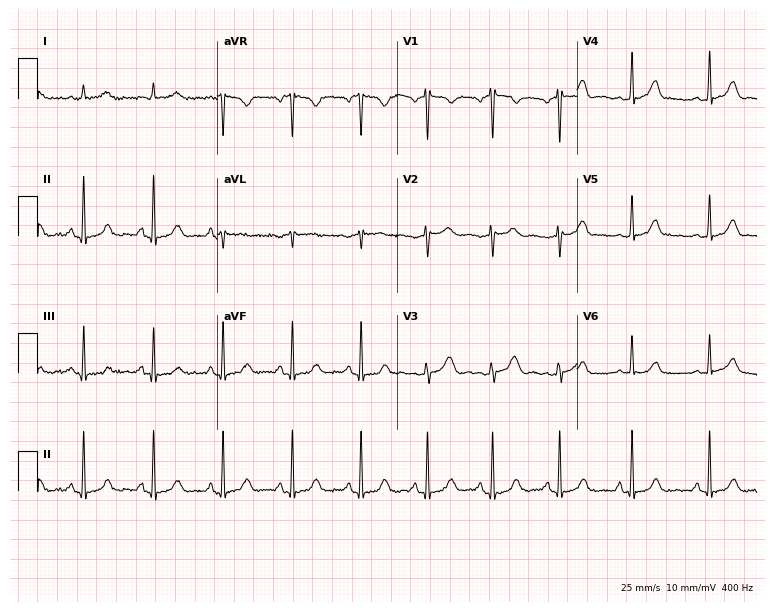
12-lead ECG (7.3-second recording at 400 Hz) from a female, 30 years old. Screened for six findings — first-degree AV block, right bundle branch block (RBBB), left bundle branch block (LBBB), sinus bradycardia, atrial fibrillation (AF), sinus tachycardia — none is recorded.